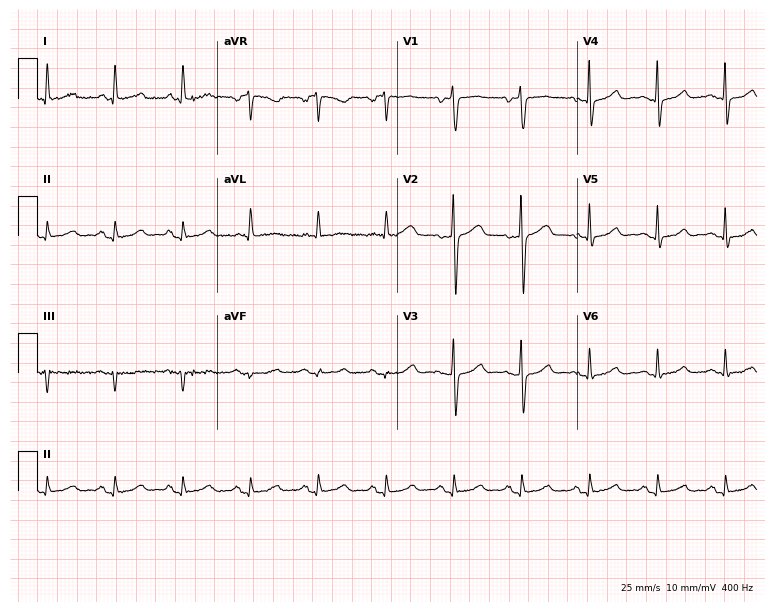
Electrocardiogram, a 64-year-old man. Overall reading on record: normal ECG.